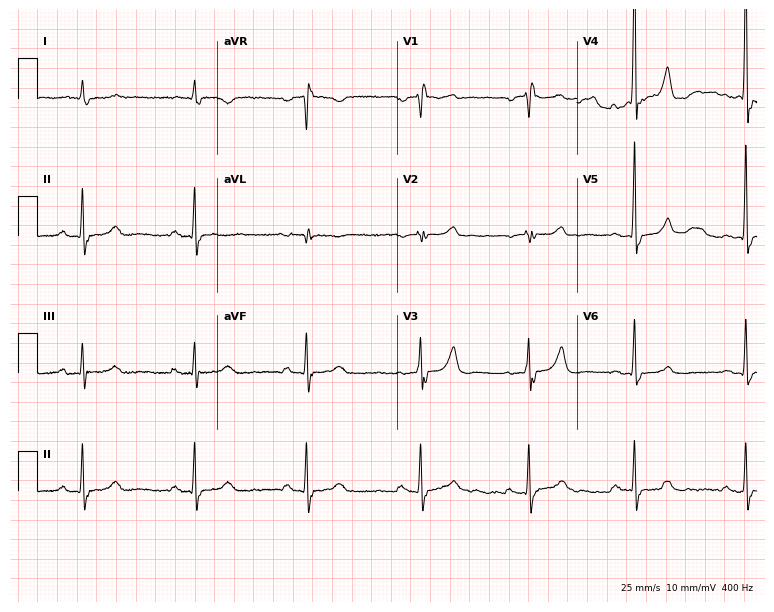
Resting 12-lead electrocardiogram (7.3-second recording at 400 Hz). Patient: a 78-year-old male. The tracing shows first-degree AV block, right bundle branch block.